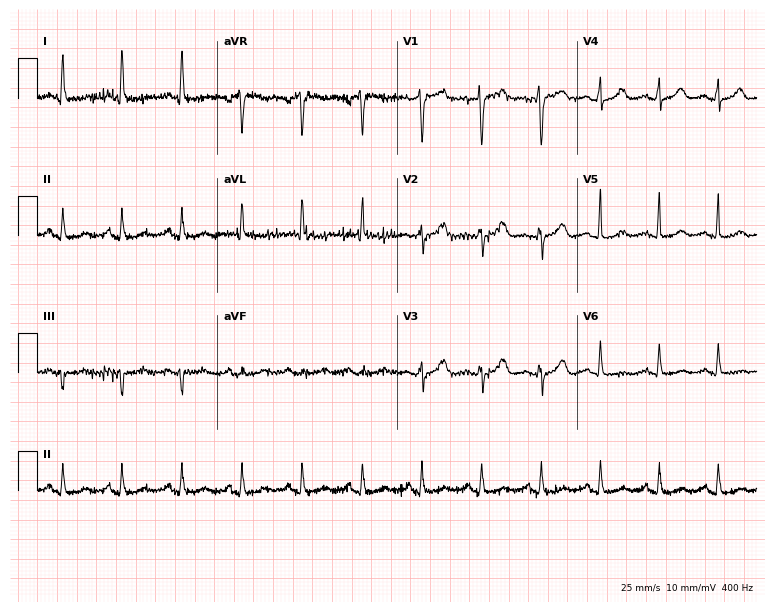
ECG — a female, 51 years old. Labelled as a normal ECG.